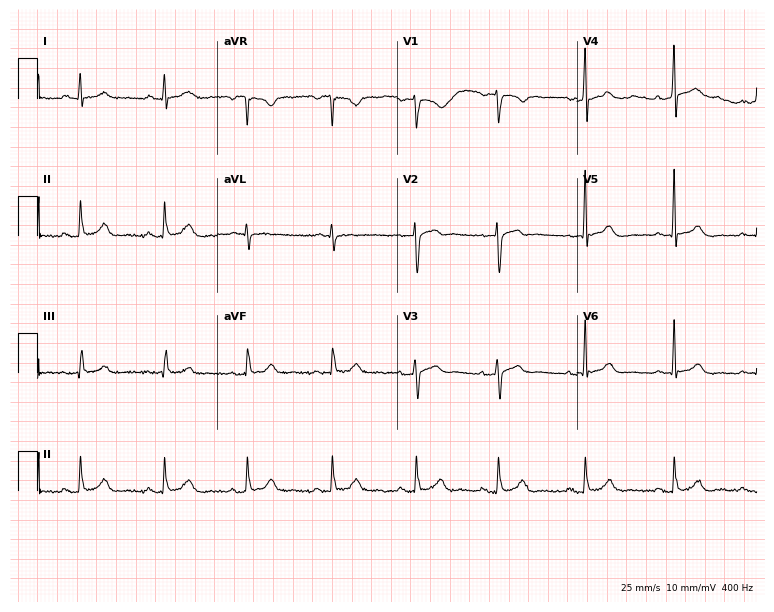
ECG — a 69-year-old man. Screened for six findings — first-degree AV block, right bundle branch block (RBBB), left bundle branch block (LBBB), sinus bradycardia, atrial fibrillation (AF), sinus tachycardia — none is recorded.